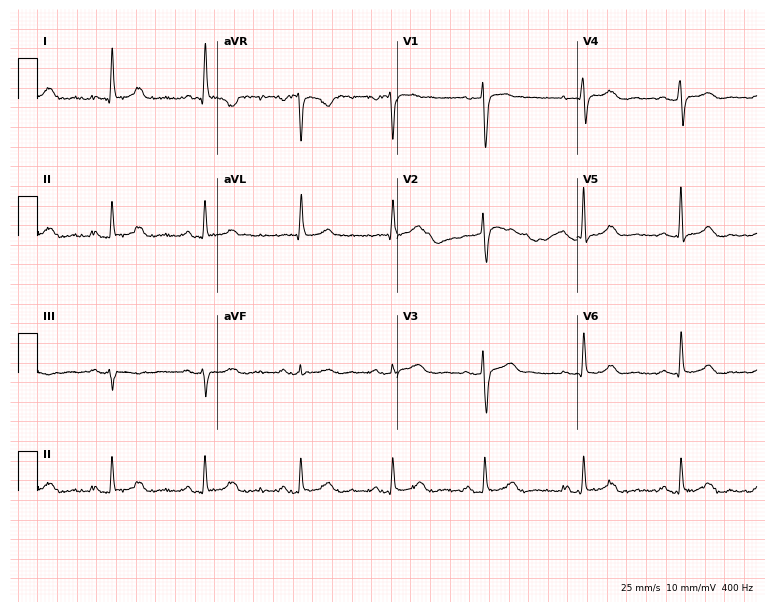
Resting 12-lead electrocardiogram (7.3-second recording at 400 Hz). Patient: a female, 59 years old. Read as a normal ECG.